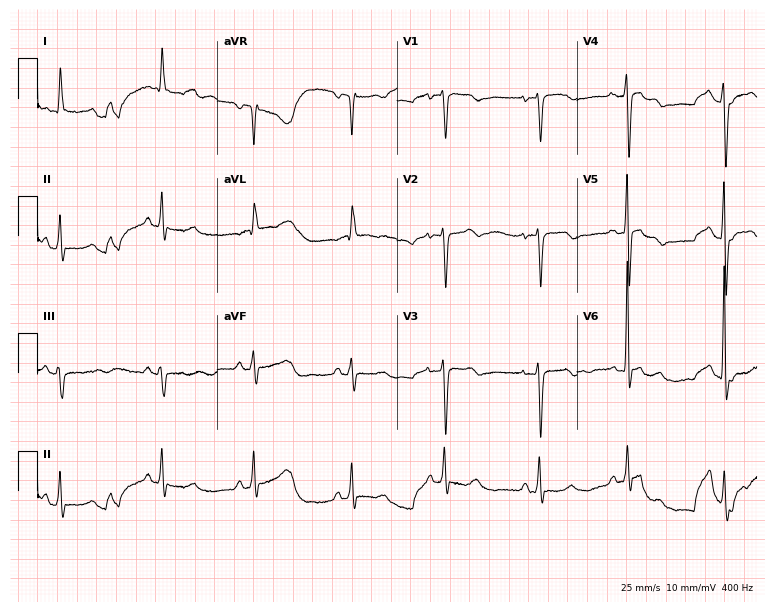
Electrocardiogram, a female, 37 years old. Of the six screened findings (first-degree AV block, right bundle branch block (RBBB), left bundle branch block (LBBB), sinus bradycardia, atrial fibrillation (AF), sinus tachycardia), none is recorded. Findings outside these six are not listed.